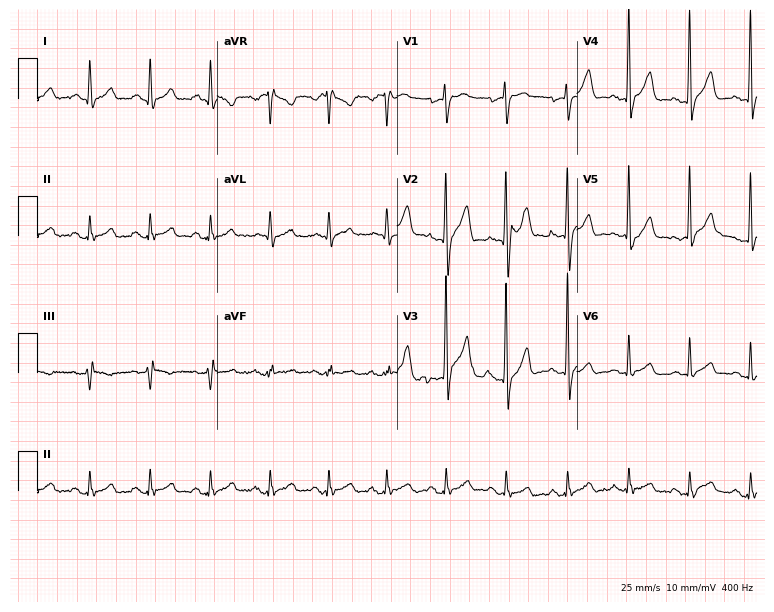
Standard 12-lead ECG recorded from a 33-year-old man (7.3-second recording at 400 Hz). None of these six findings is recorded: first-degree AV block, right bundle branch block, left bundle branch block, sinus bradycardia, atrial fibrillation, sinus tachycardia. Other findings, if any, are not listed.